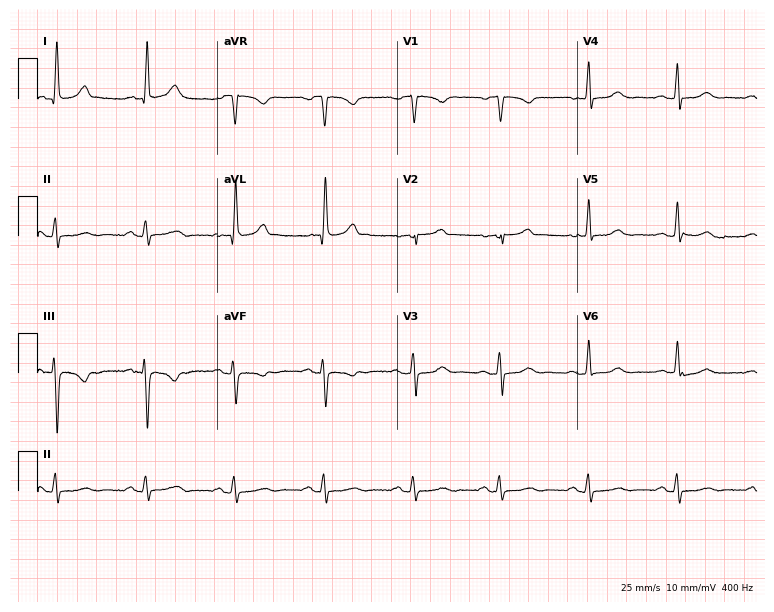
Resting 12-lead electrocardiogram (7.3-second recording at 400 Hz). Patient: a woman, 82 years old. Read as a normal ECG.